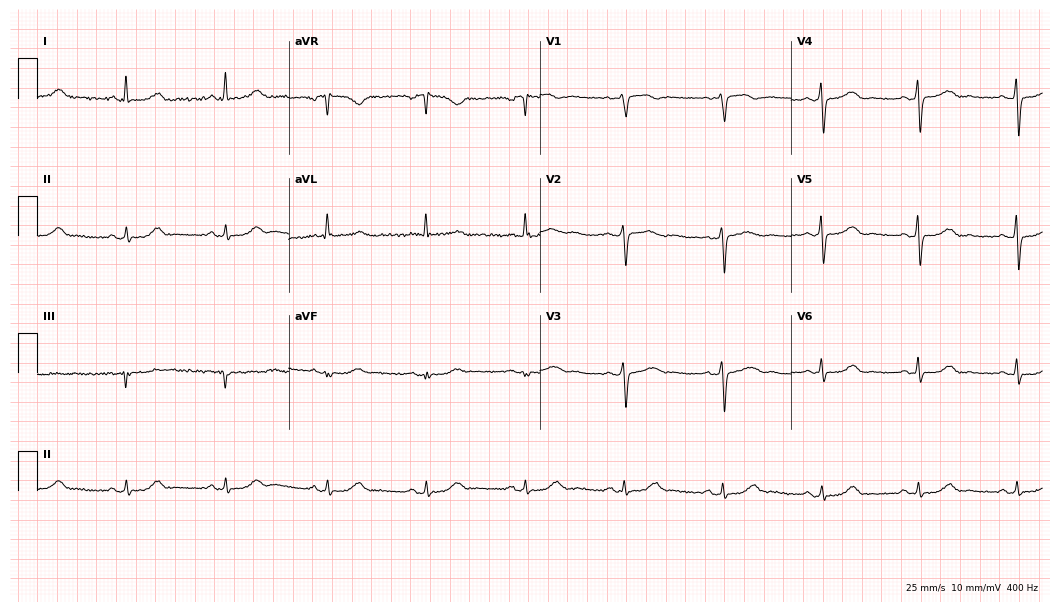
Electrocardiogram, a 73-year-old female patient. Overall reading on record: normal ECG.